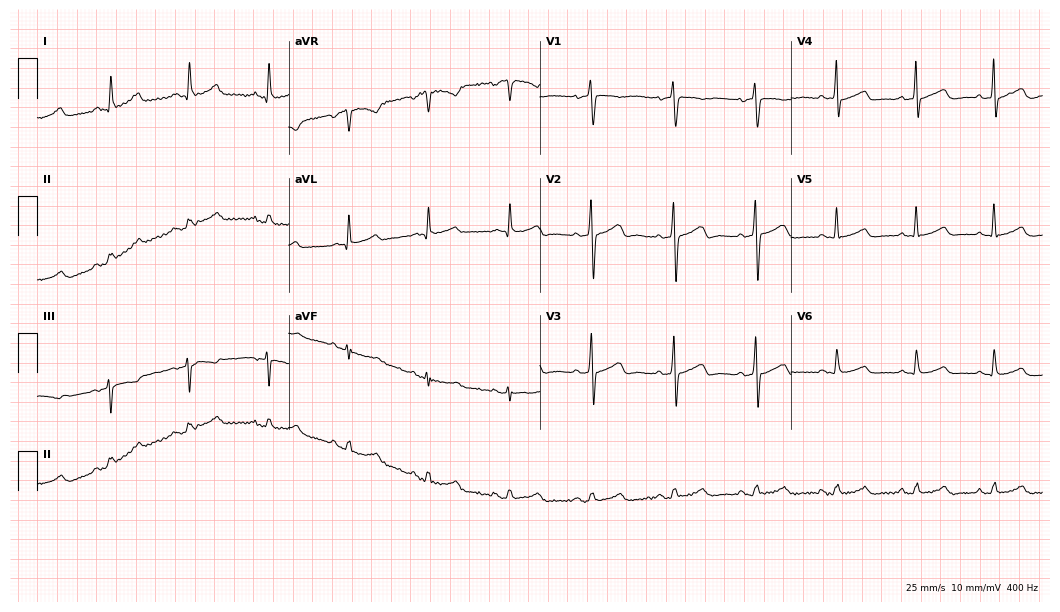
12-lead ECG from a male, 58 years old (10.2-second recording at 400 Hz). No first-degree AV block, right bundle branch block, left bundle branch block, sinus bradycardia, atrial fibrillation or sinus tachycardia recorded for this tracing. Other findings, if any, are not listed.